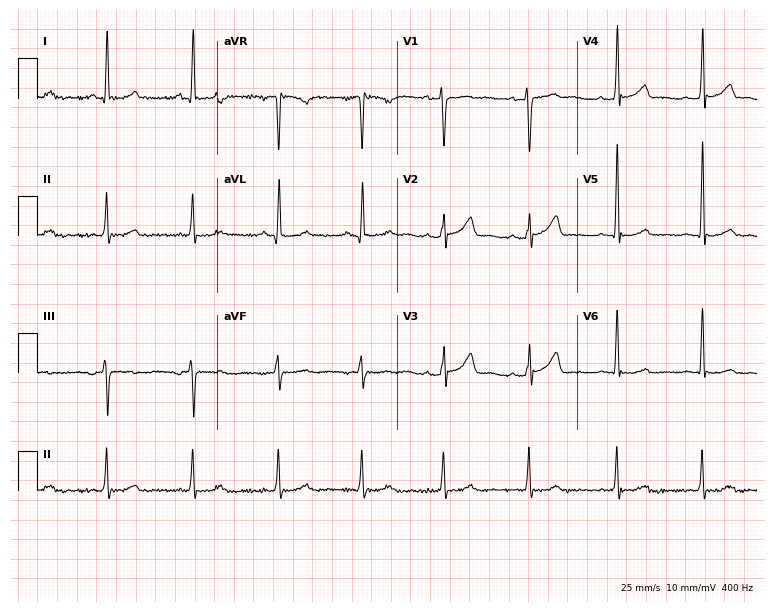
Resting 12-lead electrocardiogram (7.3-second recording at 400 Hz). Patient: a female, 44 years old. None of these six findings is recorded: first-degree AV block, right bundle branch block, left bundle branch block, sinus bradycardia, atrial fibrillation, sinus tachycardia. Findings outside these six are not listed.